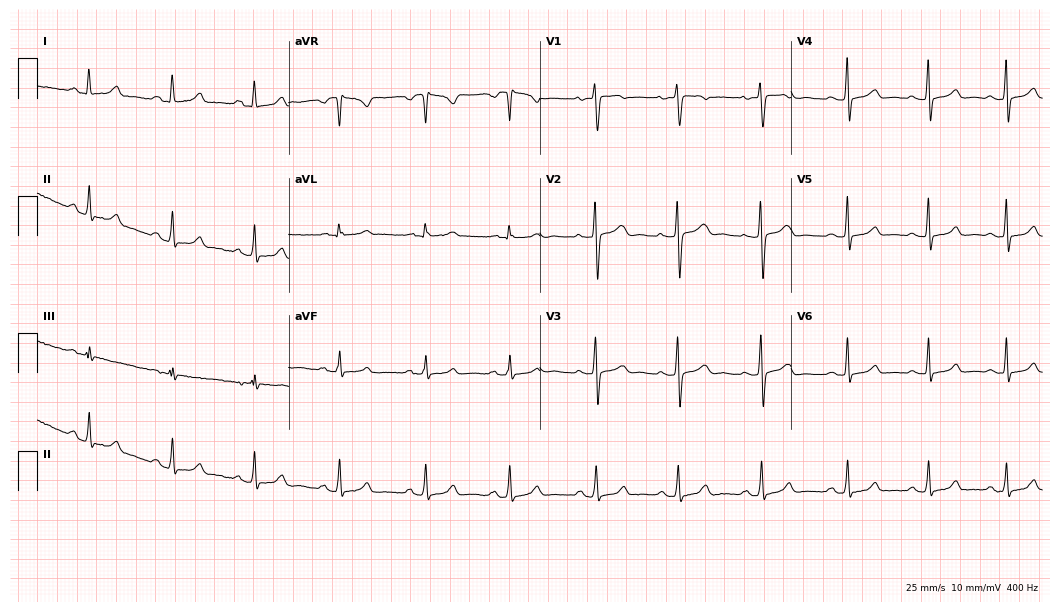
12-lead ECG from a woman, 29 years old. Screened for six findings — first-degree AV block, right bundle branch block, left bundle branch block, sinus bradycardia, atrial fibrillation, sinus tachycardia — none is recorded. Findings outside these six are not listed.